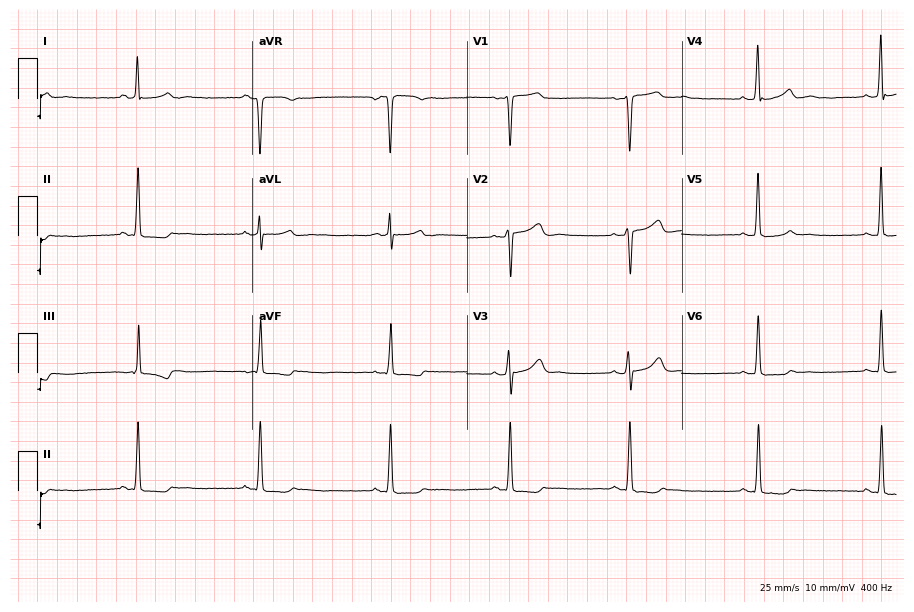
ECG — a 44-year-old woman. Findings include sinus bradycardia (a sinus rate of 50 beats per minute or less).